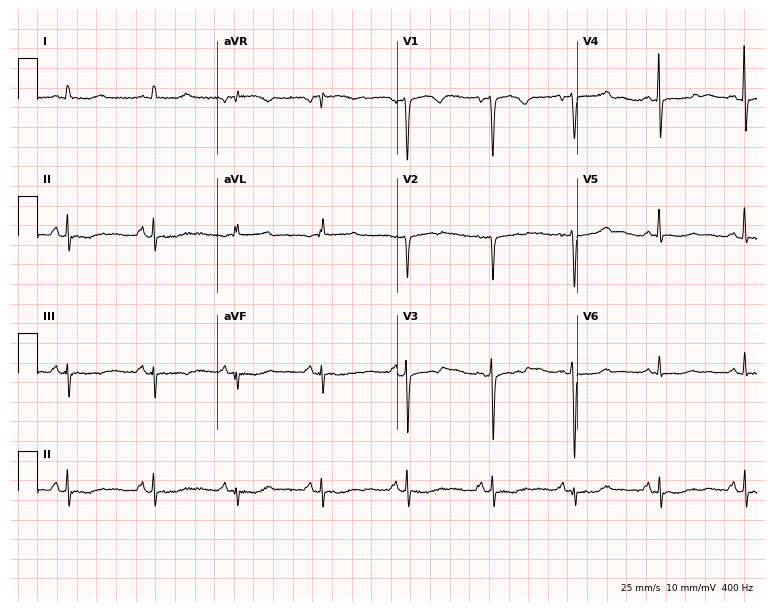
12-lead ECG (7.3-second recording at 400 Hz) from a 65-year-old woman. Screened for six findings — first-degree AV block, right bundle branch block, left bundle branch block, sinus bradycardia, atrial fibrillation, sinus tachycardia — none is recorded. Findings outside these six are not listed.